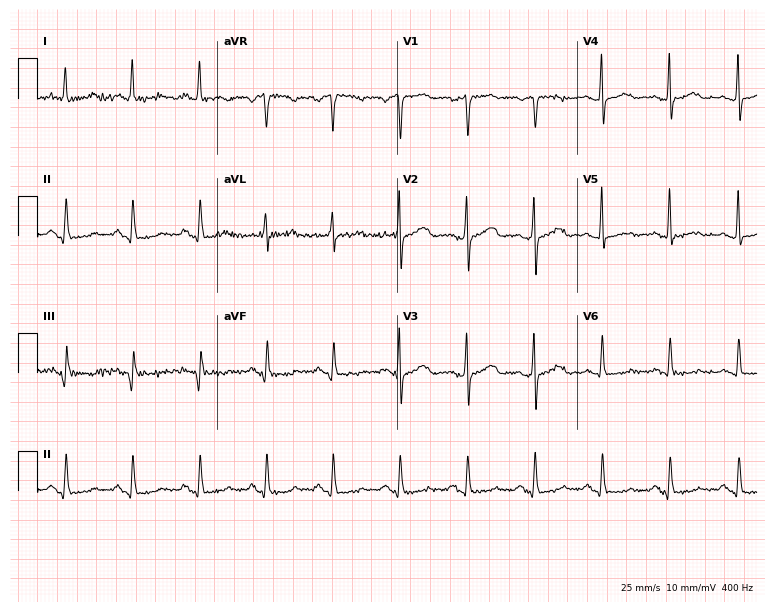
Resting 12-lead electrocardiogram. Patient: a 43-year-old woman. None of these six findings is recorded: first-degree AV block, right bundle branch block (RBBB), left bundle branch block (LBBB), sinus bradycardia, atrial fibrillation (AF), sinus tachycardia.